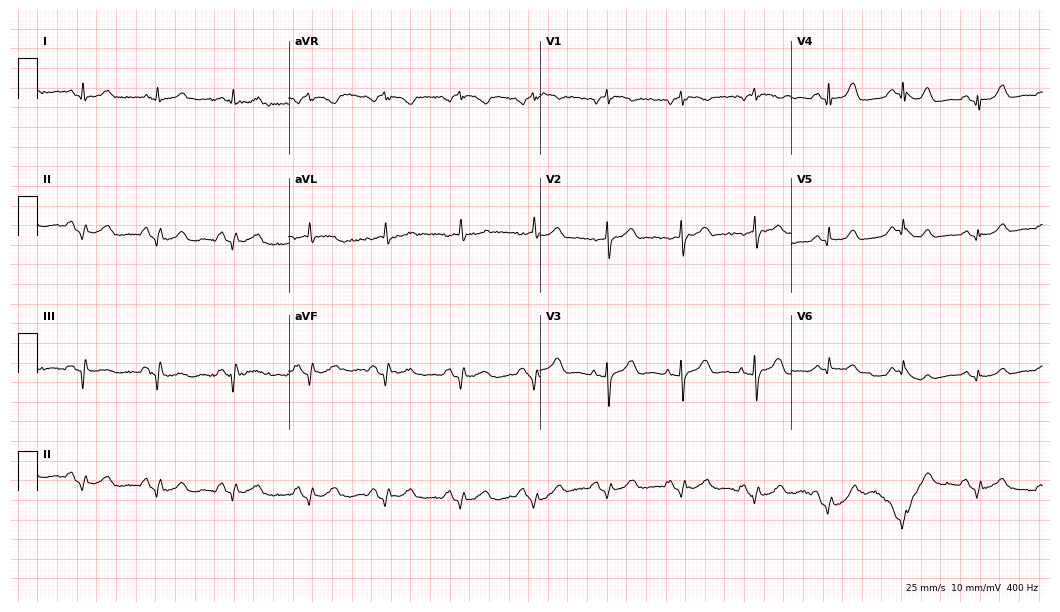
Resting 12-lead electrocardiogram (10.2-second recording at 400 Hz). Patient: a woman, 81 years old. None of these six findings is recorded: first-degree AV block, right bundle branch block, left bundle branch block, sinus bradycardia, atrial fibrillation, sinus tachycardia.